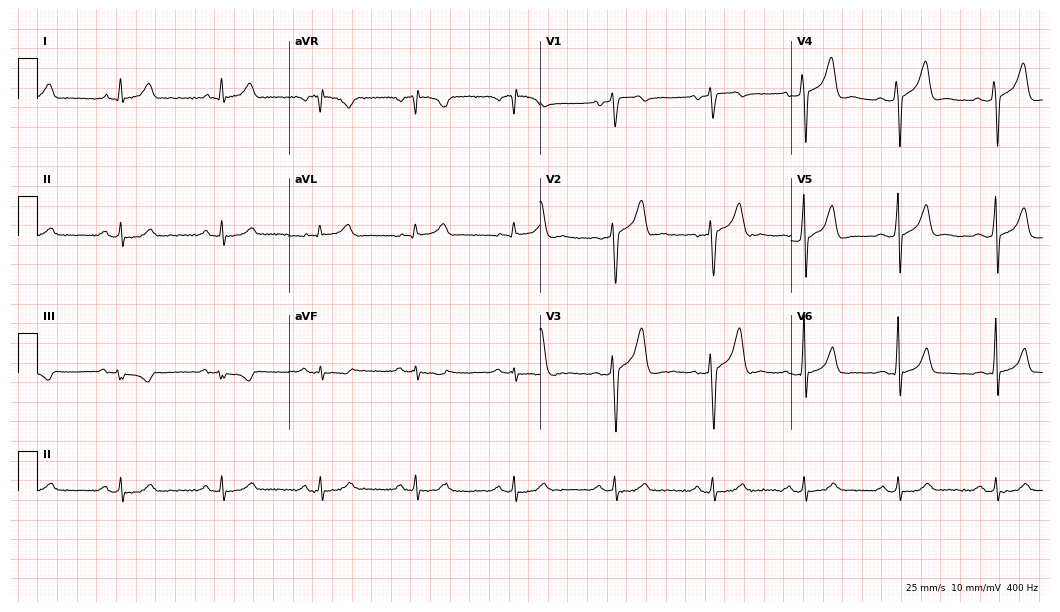
12-lead ECG from a 56-year-old man (10.2-second recording at 400 Hz). No first-degree AV block, right bundle branch block, left bundle branch block, sinus bradycardia, atrial fibrillation or sinus tachycardia recorded for this tracing. Other findings, if any, are not listed.